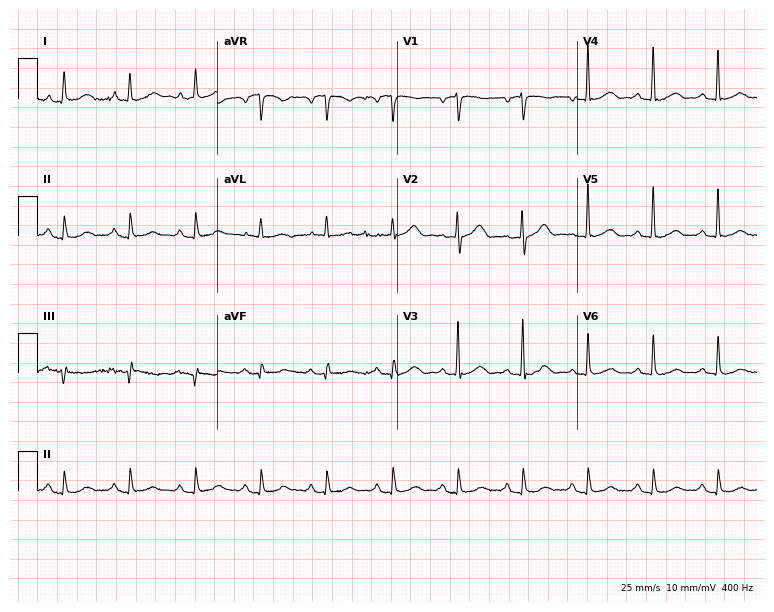
12-lead ECG from a 77-year-old man. Labelled as a normal ECG.